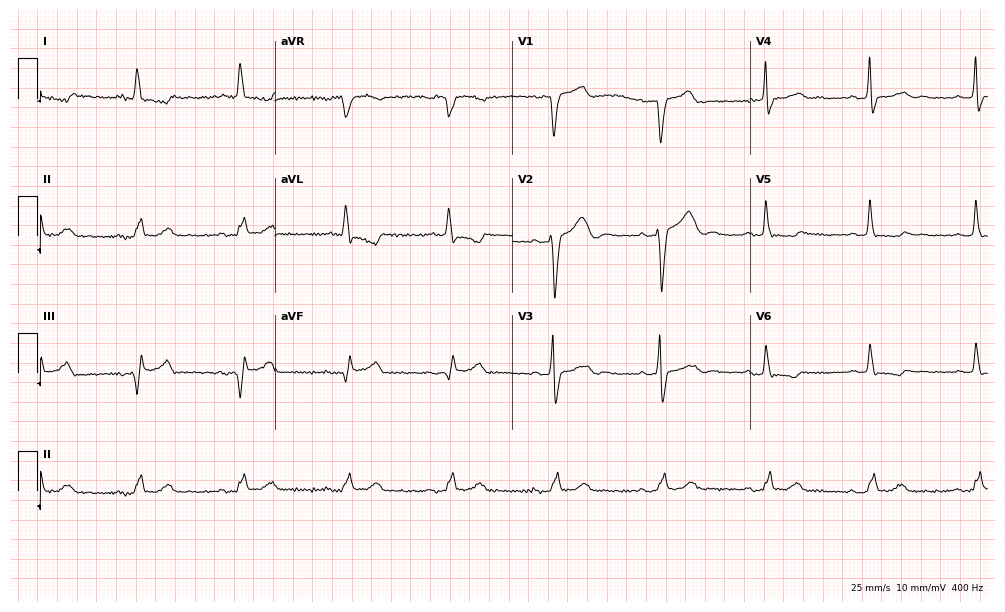
Electrocardiogram, a 66-year-old female. Interpretation includes left bundle branch block.